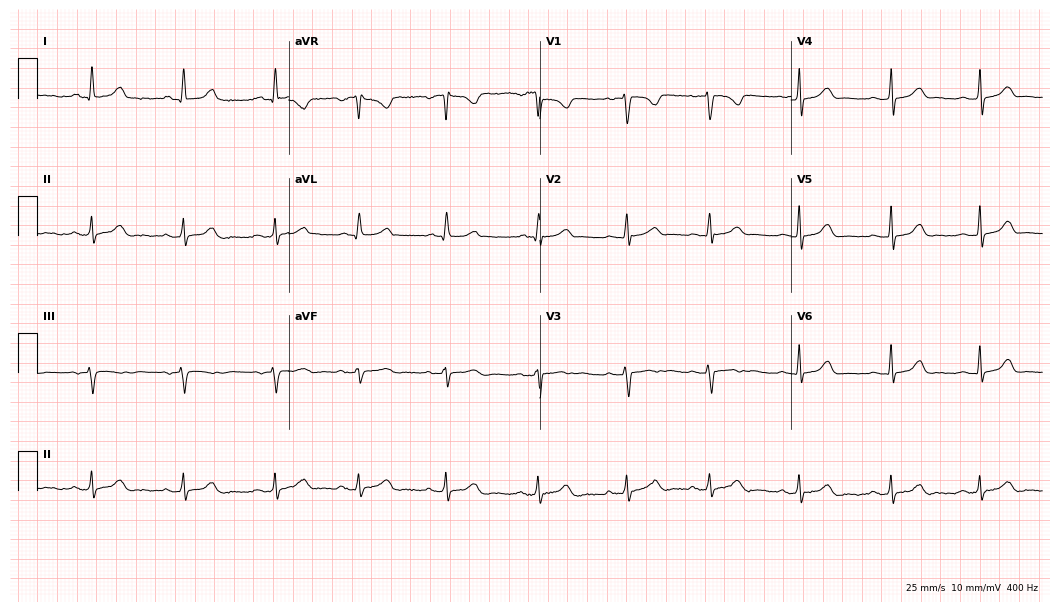
12-lead ECG (10.2-second recording at 400 Hz) from a 22-year-old female. Screened for six findings — first-degree AV block, right bundle branch block (RBBB), left bundle branch block (LBBB), sinus bradycardia, atrial fibrillation (AF), sinus tachycardia — none is recorded.